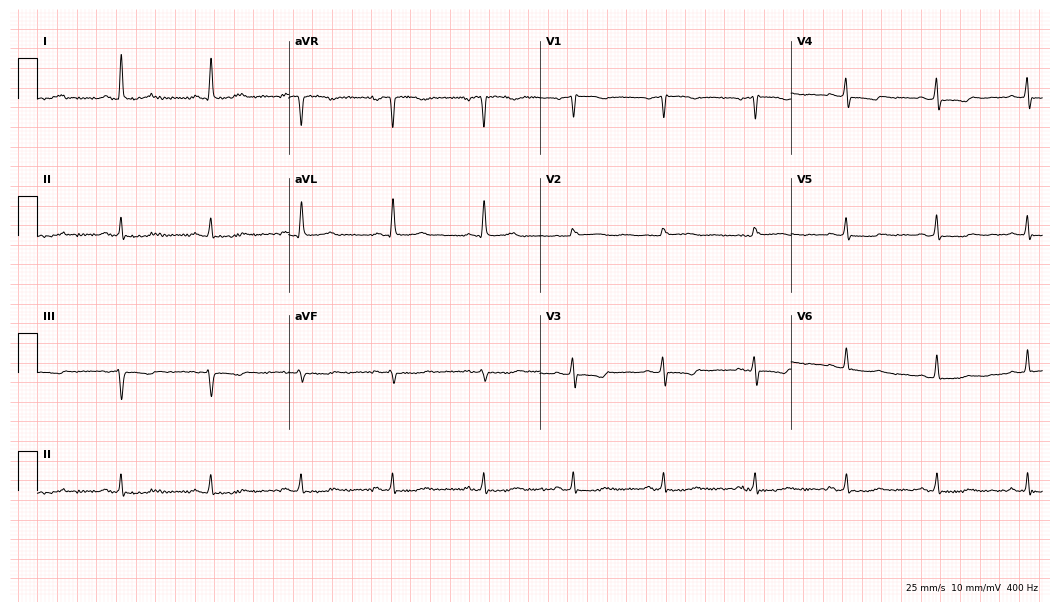
12-lead ECG from a 69-year-old female patient (10.2-second recording at 400 Hz). No first-degree AV block, right bundle branch block (RBBB), left bundle branch block (LBBB), sinus bradycardia, atrial fibrillation (AF) or sinus tachycardia recorded for this tracing.